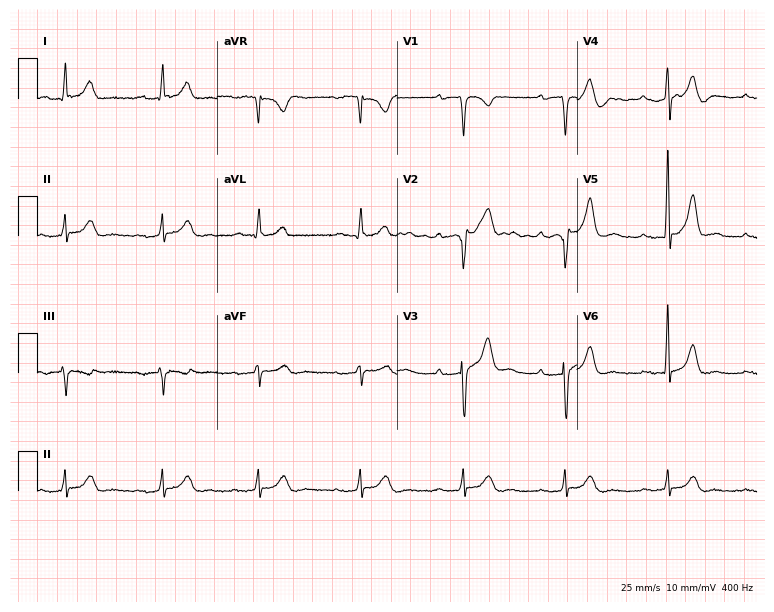
Resting 12-lead electrocardiogram. Patient: a 72-year-old female. The tracing shows first-degree AV block.